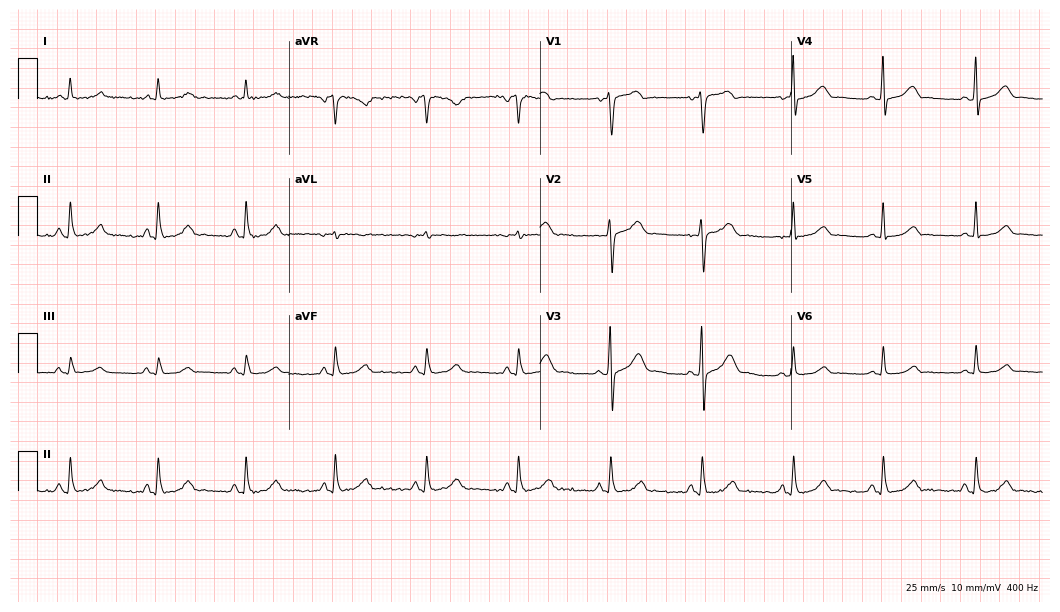
Resting 12-lead electrocardiogram. Patient: a female, 49 years old. Read as a normal ECG.